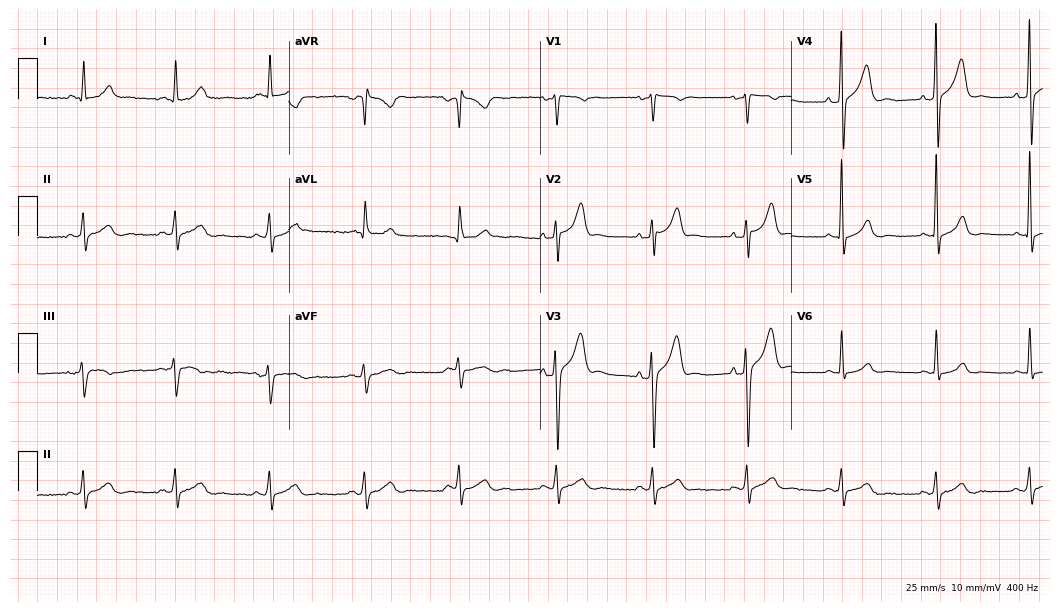
Standard 12-lead ECG recorded from a male patient, 56 years old (10.2-second recording at 400 Hz). None of these six findings is recorded: first-degree AV block, right bundle branch block (RBBB), left bundle branch block (LBBB), sinus bradycardia, atrial fibrillation (AF), sinus tachycardia. Findings outside these six are not listed.